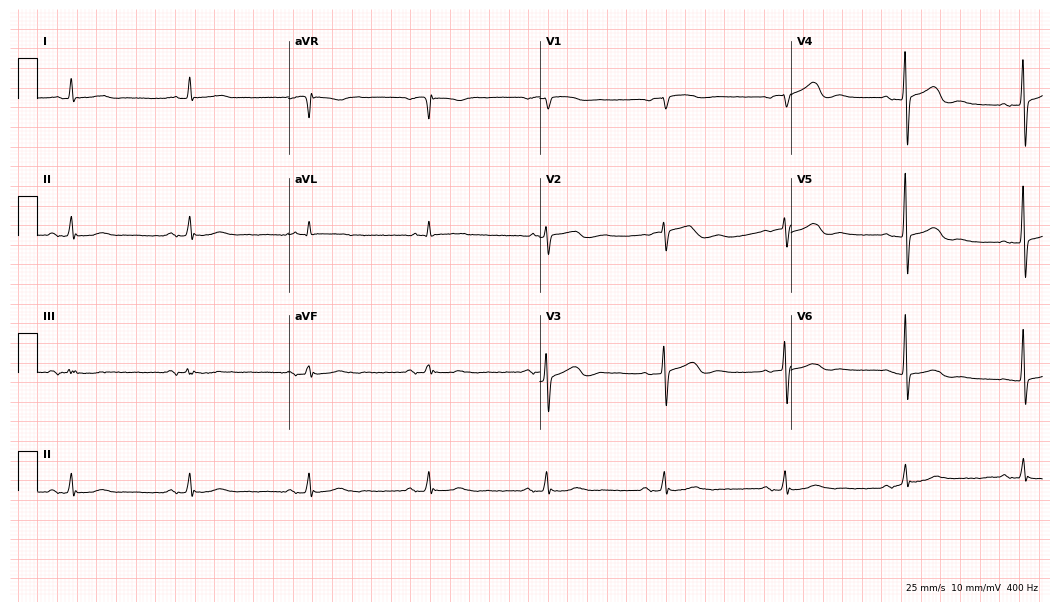
Standard 12-lead ECG recorded from a male patient, 76 years old (10.2-second recording at 400 Hz). None of these six findings is recorded: first-degree AV block, right bundle branch block (RBBB), left bundle branch block (LBBB), sinus bradycardia, atrial fibrillation (AF), sinus tachycardia.